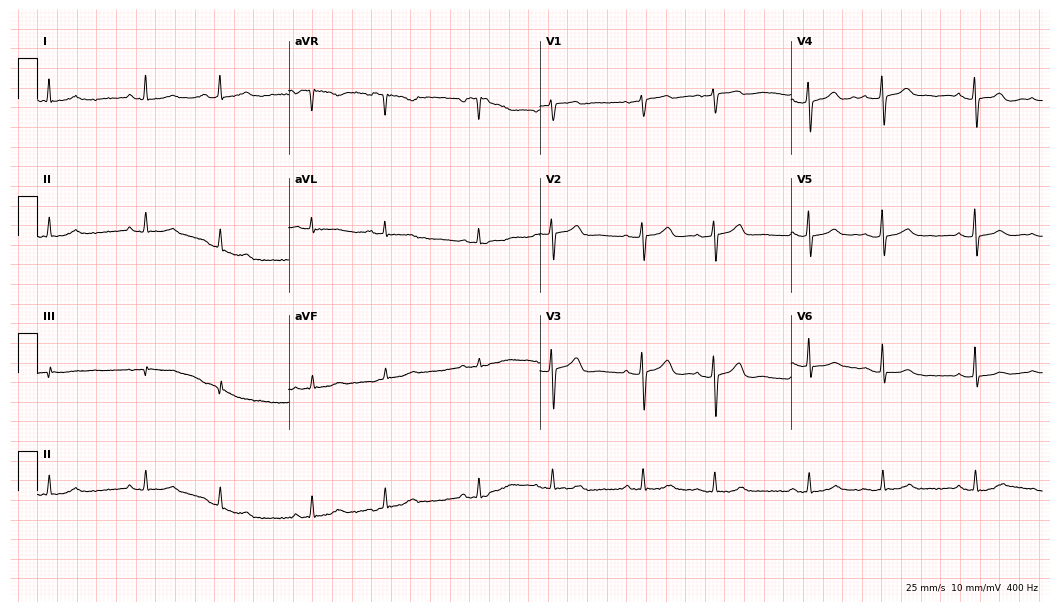
Electrocardiogram (10.2-second recording at 400 Hz), a female patient, 65 years old. Of the six screened findings (first-degree AV block, right bundle branch block, left bundle branch block, sinus bradycardia, atrial fibrillation, sinus tachycardia), none is recorded.